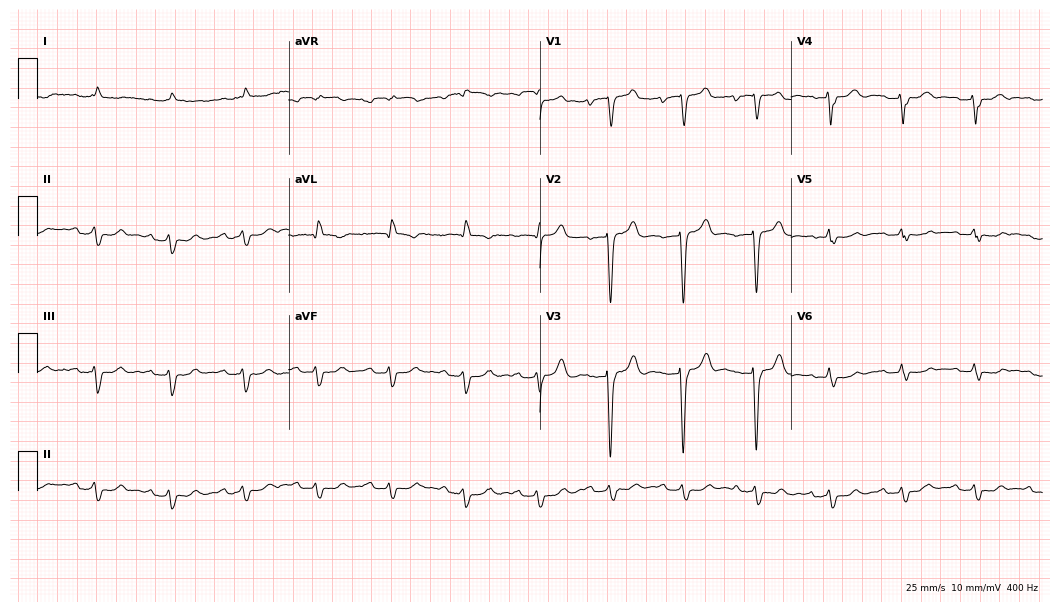
ECG (10.2-second recording at 400 Hz) — an 85-year-old man. Screened for six findings — first-degree AV block, right bundle branch block, left bundle branch block, sinus bradycardia, atrial fibrillation, sinus tachycardia — none is recorded.